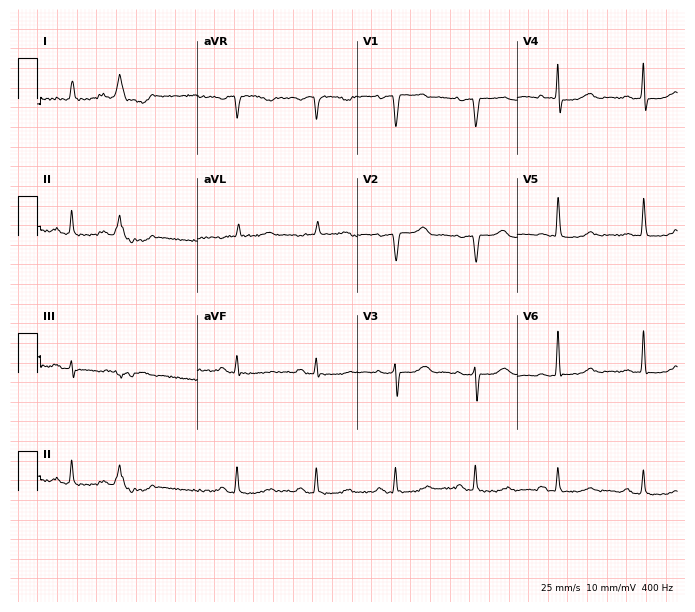
Electrocardiogram (6.5-second recording at 400 Hz), a 69-year-old female. Overall reading on record: normal ECG.